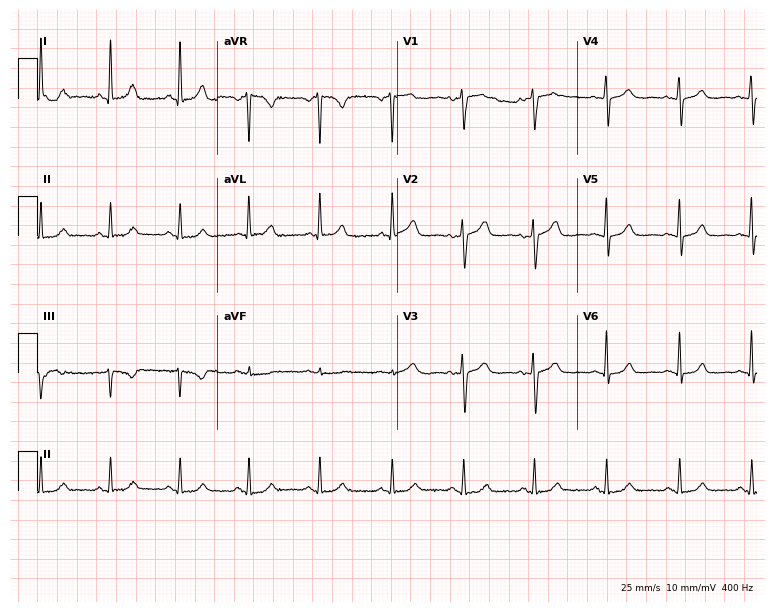
Standard 12-lead ECG recorded from a 56-year-old female patient. Read as a normal ECG.